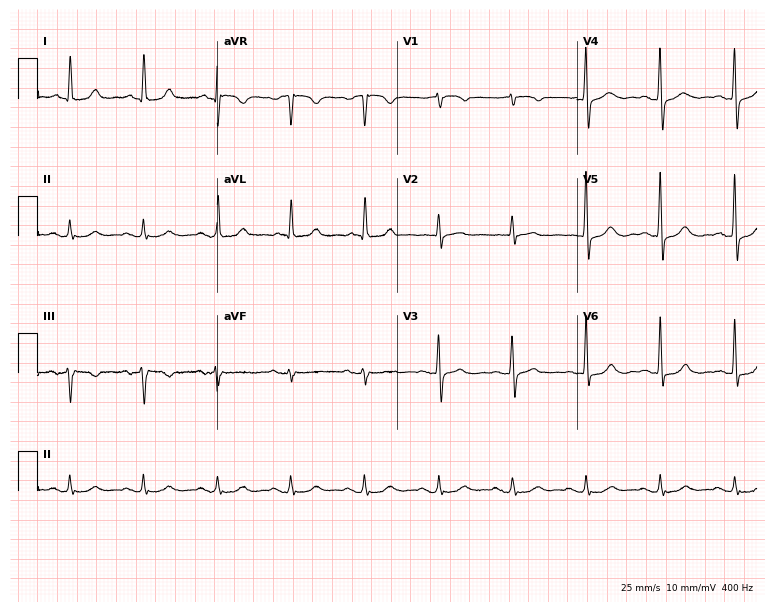
ECG (7.3-second recording at 400 Hz) — a woman, 71 years old. Screened for six findings — first-degree AV block, right bundle branch block (RBBB), left bundle branch block (LBBB), sinus bradycardia, atrial fibrillation (AF), sinus tachycardia — none is recorded. Only these six findings were labelled.